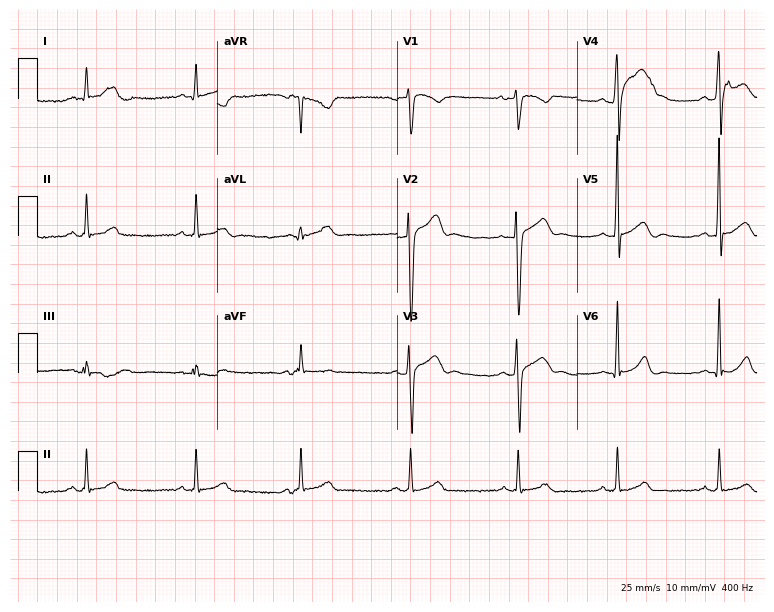
Standard 12-lead ECG recorded from a 36-year-old male patient. None of these six findings is recorded: first-degree AV block, right bundle branch block (RBBB), left bundle branch block (LBBB), sinus bradycardia, atrial fibrillation (AF), sinus tachycardia. Other findings, if any, are not listed.